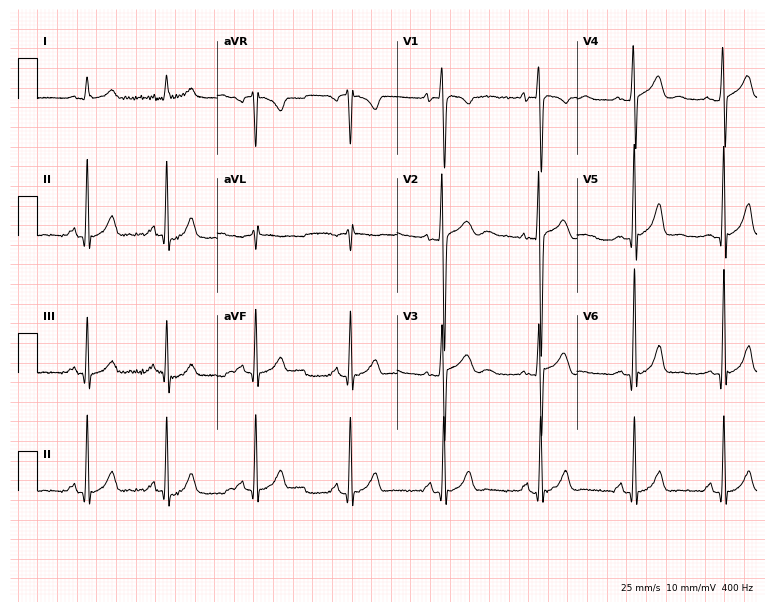
12-lead ECG (7.3-second recording at 400 Hz) from an 18-year-old man. Labelled as a normal ECG.